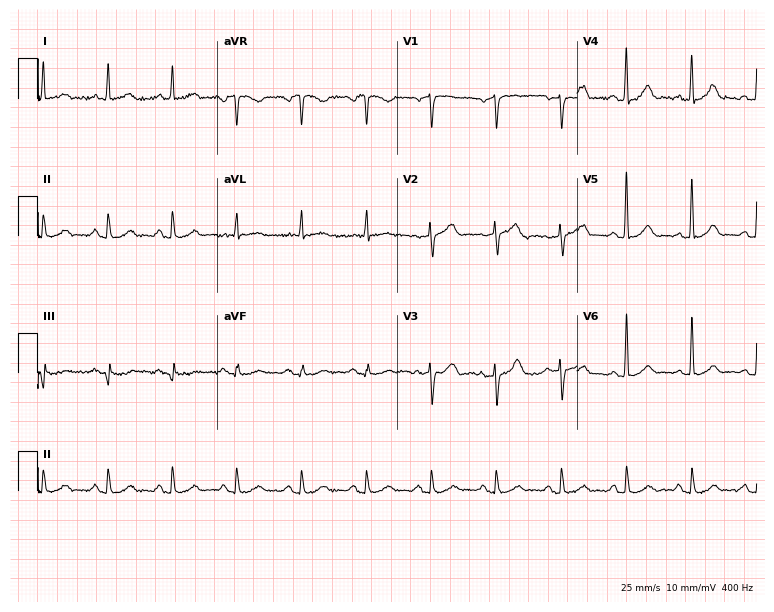
Standard 12-lead ECG recorded from a man, 79 years old. Read as a normal ECG.